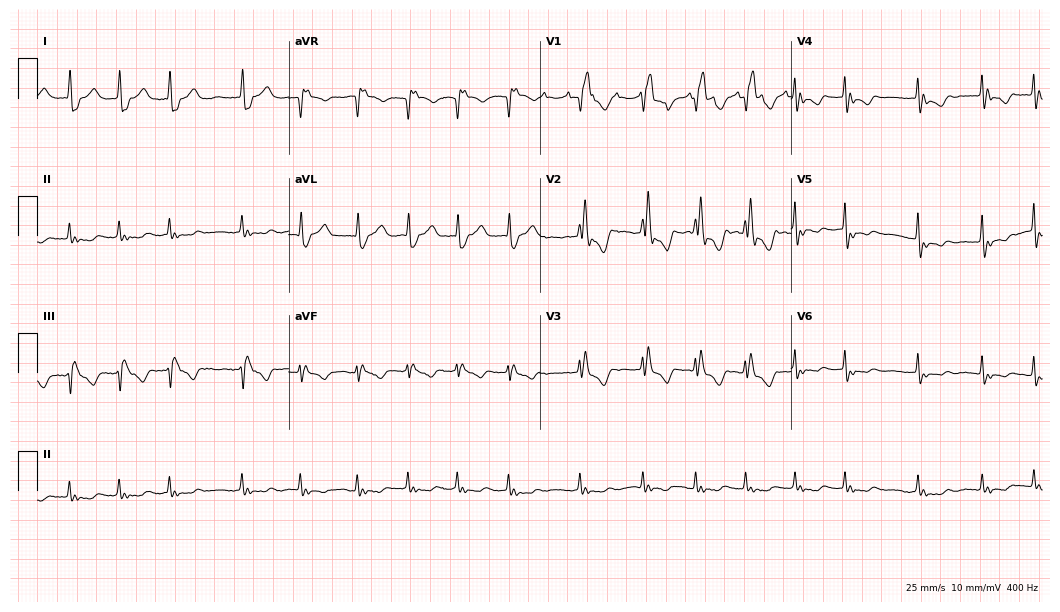
ECG (10.2-second recording at 400 Hz) — an 83-year-old female patient. Findings include right bundle branch block, atrial fibrillation.